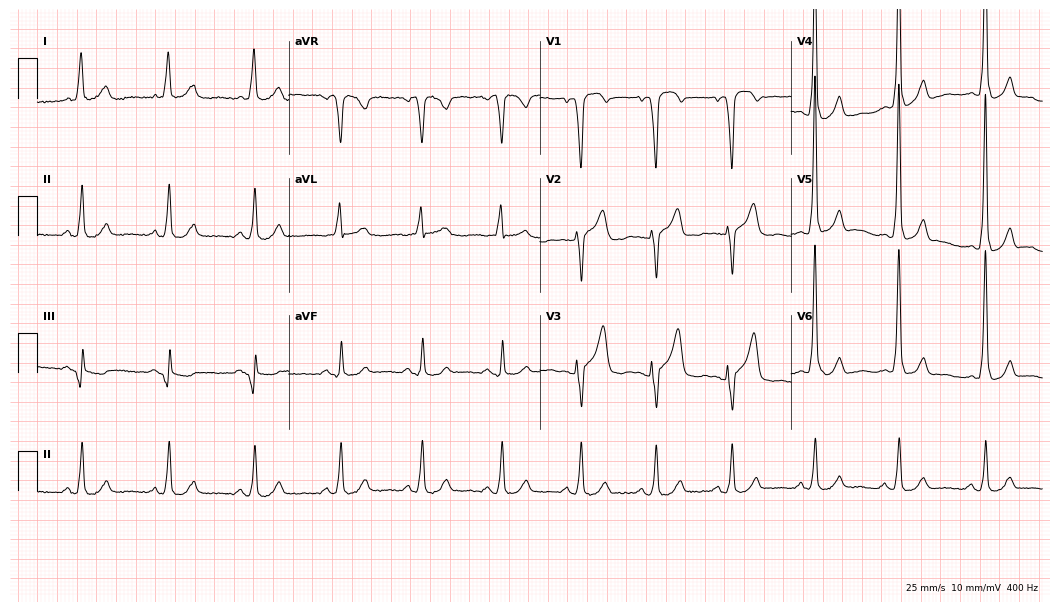
ECG — a man, 47 years old. Screened for six findings — first-degree AV block, right bundle branch block (RBBB), left bundle branch block (LBBB), sinus bradycardia, atrial fibrillation (AF), sinus tachycardia — none is recorded.